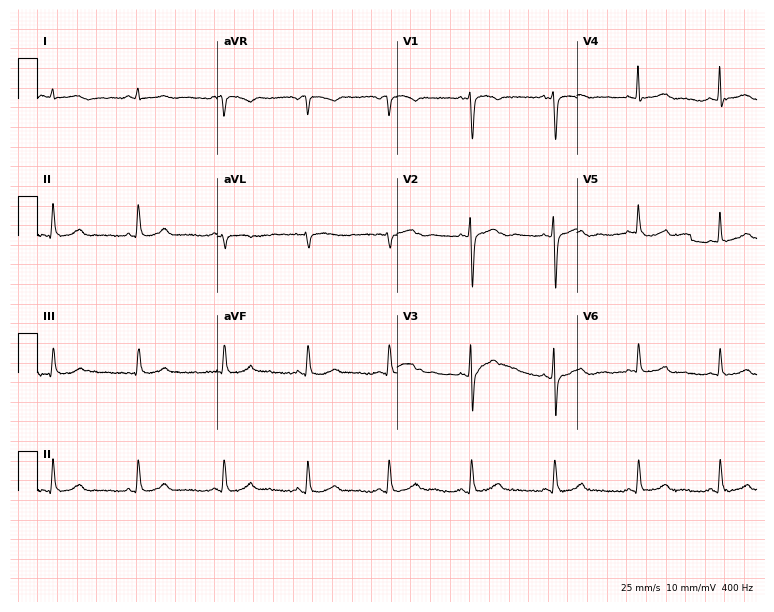
Standard 12-lead ECG recorded from a female patient, 21 years old. None of these six findings is recorded: first-degree AV block, right bundle branch block, left bundle branch block, sinus bradycardia, atrial fibrillation, sinus tachycardia. Other findings, if any, are not listed.